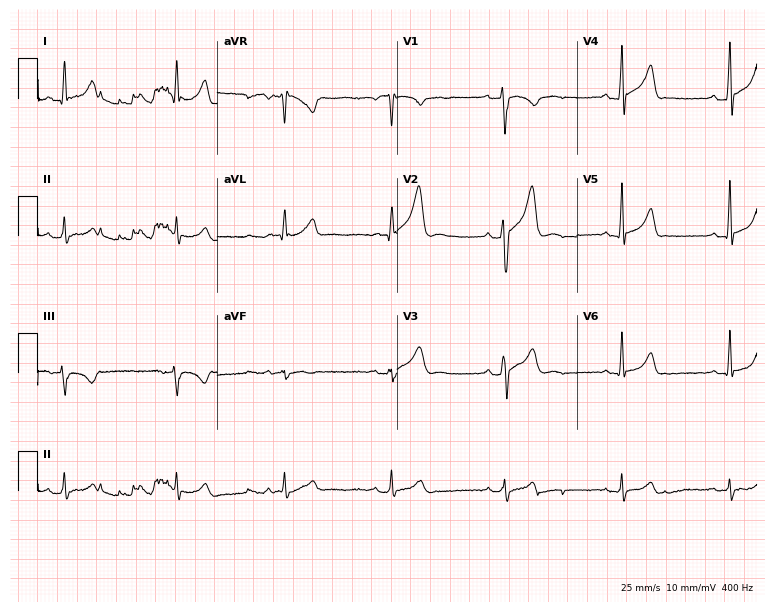
Standard 12-lead ECG recorded from a 46-year-old male (7.3-second recording at 400 Hz). Read as a normal ECG.